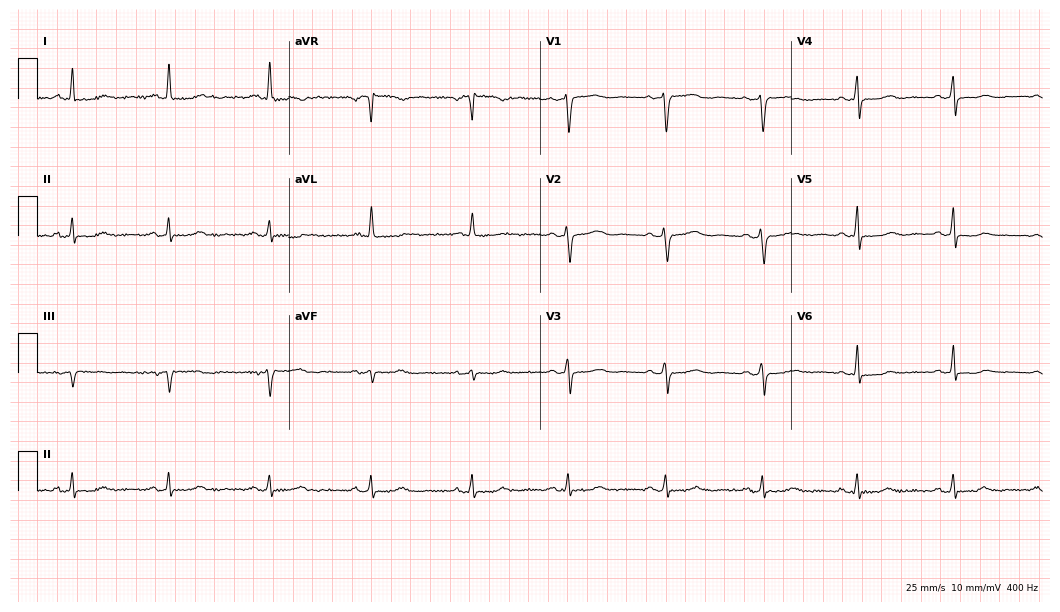
12-lead ECG from a 50-year-old female. Recorded interpretation: within normal limits.